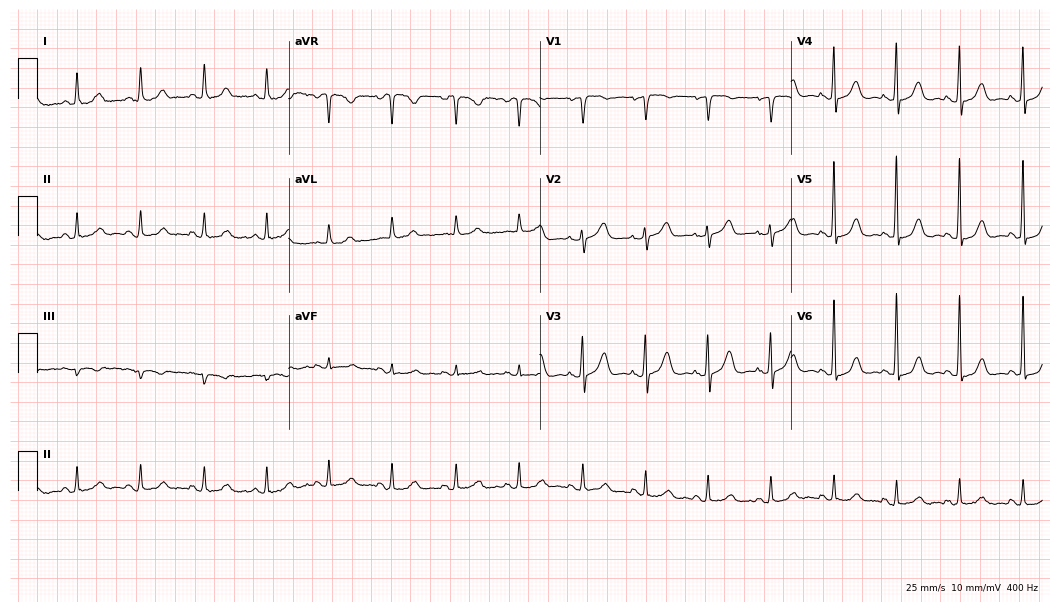
Electrocardiogram (10.2-second recording at 400 Hz), a female patient, 75 years old. Of the six screened findings (first-degree AV block, right bundle branch block, left bundle branch block, sinus bradycardia, atrial fibrillation, sinus tachycardia), none is recorded. Other findings, if any, are not listed.